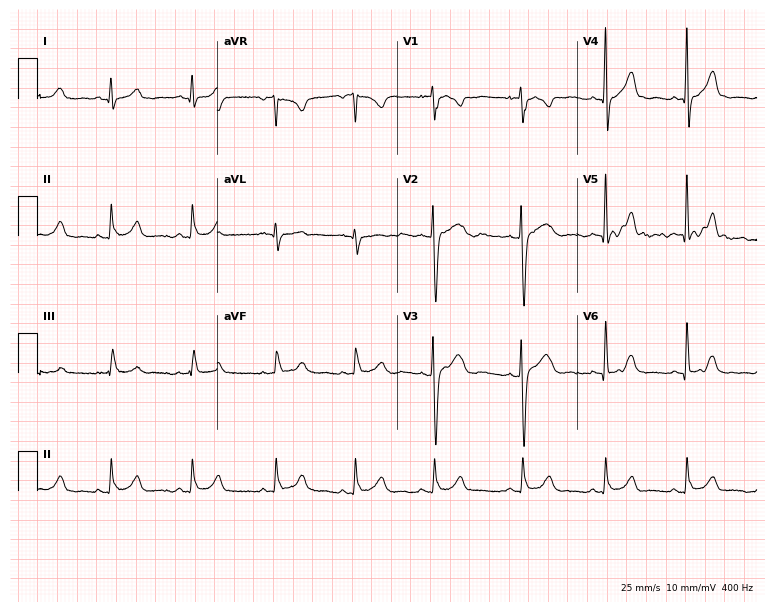
Electrocardiogram, a woman, 25 years old. Overall reading on record: normal ECG.